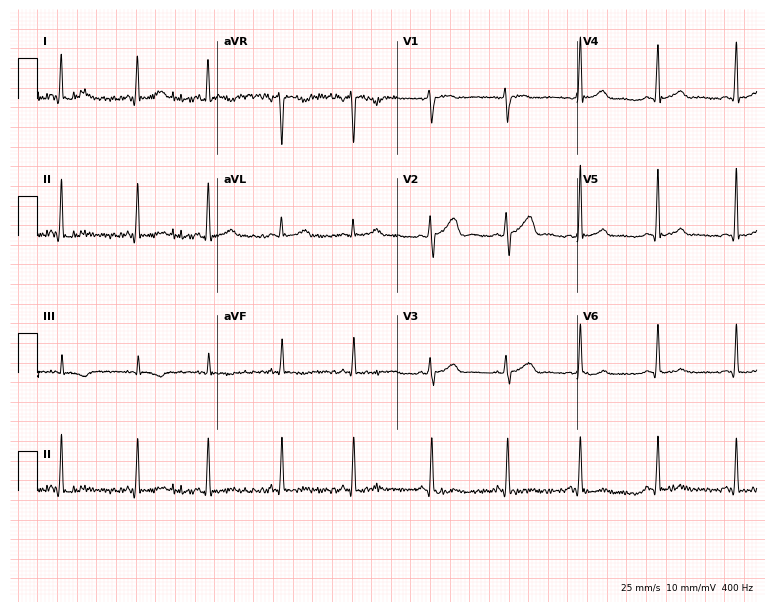
ECG (7.3-second recording at 400 Hz) — a 41-year-old woman. Labelled as a normal ECG.